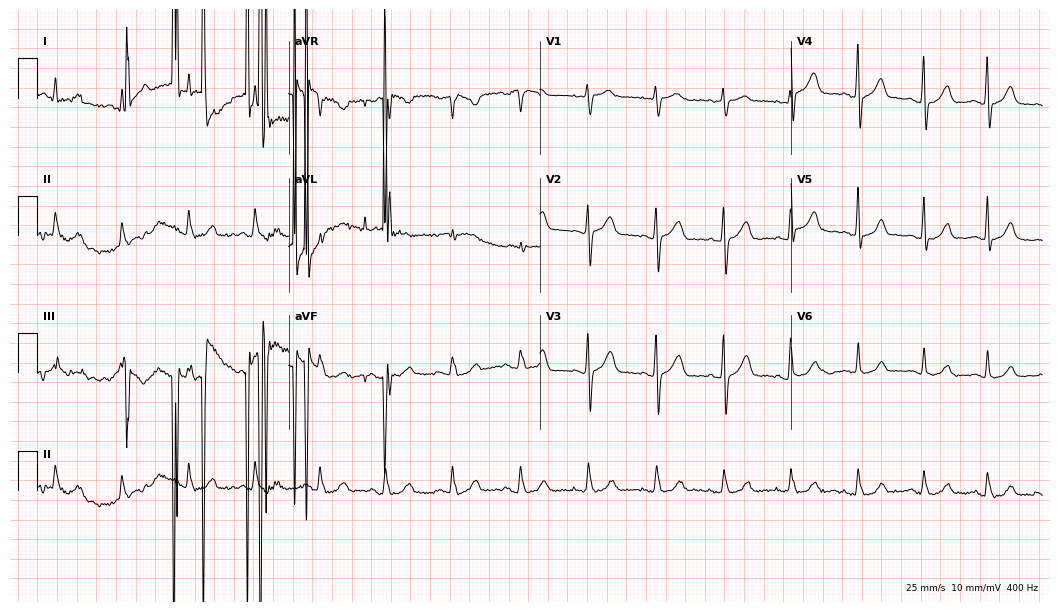
12-lead ECG from a 54-year-old woman. Recorded interpretation: within normal limits.